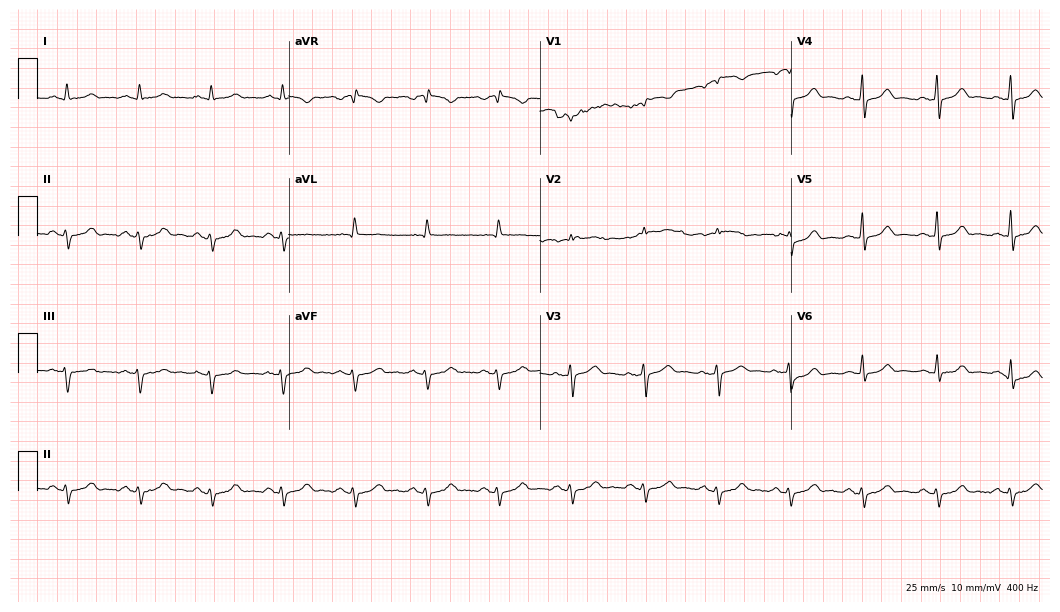
Electrocardiogram, a male patient, 71 years old. Of the six screened findings (first-degree AV block, right bundle branch block (RBBB), left bundle branch block (LBBB), sinus bradycardia, atrial fibrillation (AF), sinus tachycardia), none is recorded. Findings outside these six are not listed.